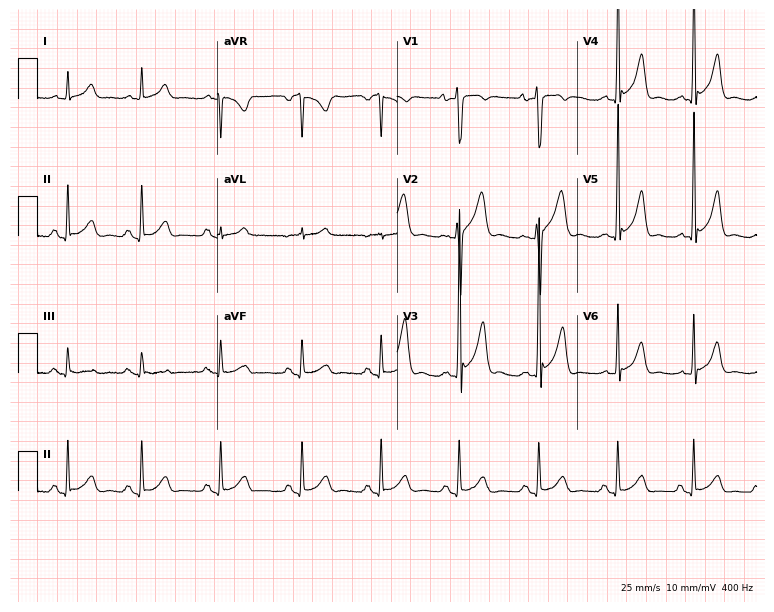
12-lead ECG (7.3-second recording at 400 Hz) from a 31-year-old male patient. Screened for six findings — first-degree AV block, right bundle branch block, left bundle branch block, sinus bradycardia, atrial fibrillation, sinus tachycardia — none is recorded. Other findings, if any, are not listed.